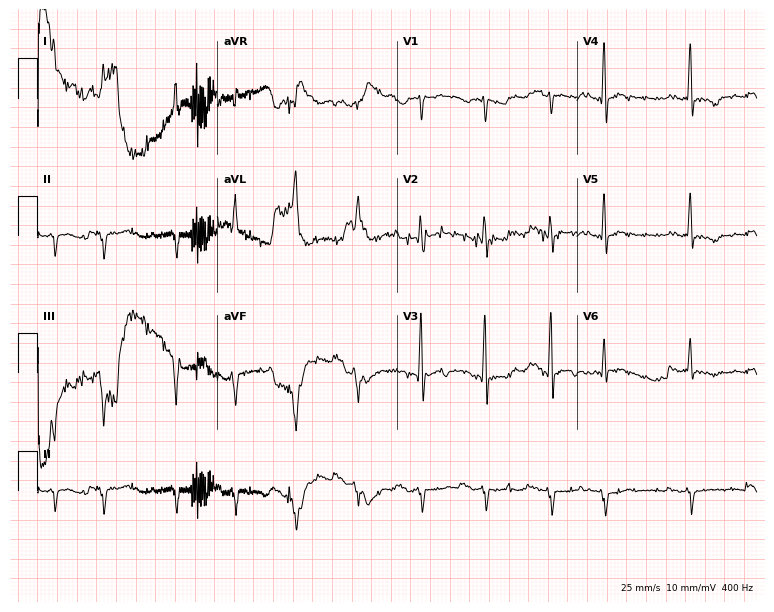
Standard 12-lead ECG recorded from a woman, 82 years old. None of these six findings is recorded: first-degree AV block, right bundle branch block, left bundle branch block, sinus bradycardia, atrial fibrillation, sinus tachycardia. Only these six findings were labelled.